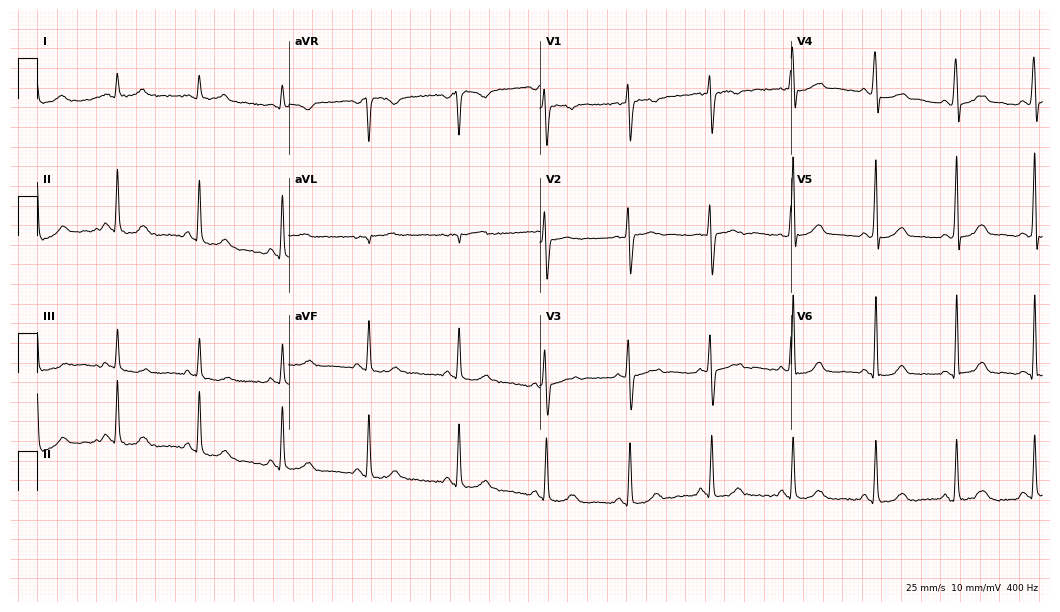
12-lead ECG from a 19-year-old female patient. Recorded interpretation: within normal limits.